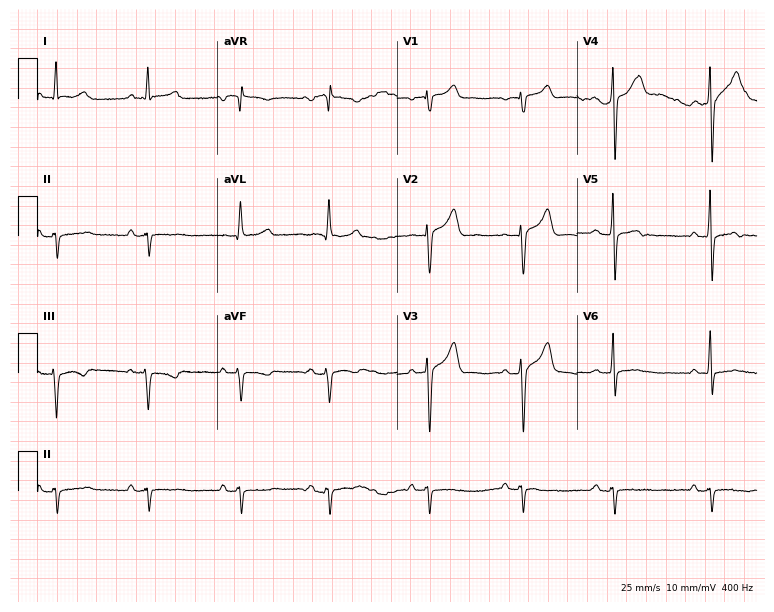
12-lead ECG from a 63-year-old male (7.3-second recording at 400 Hz). No first-degree AV block, right bundle branch block (RBBB), left bundle branch block (LBBB), sinus bradycardia, atrial fibrillation (AF) or sinus tachycardia recorded for this tracing.